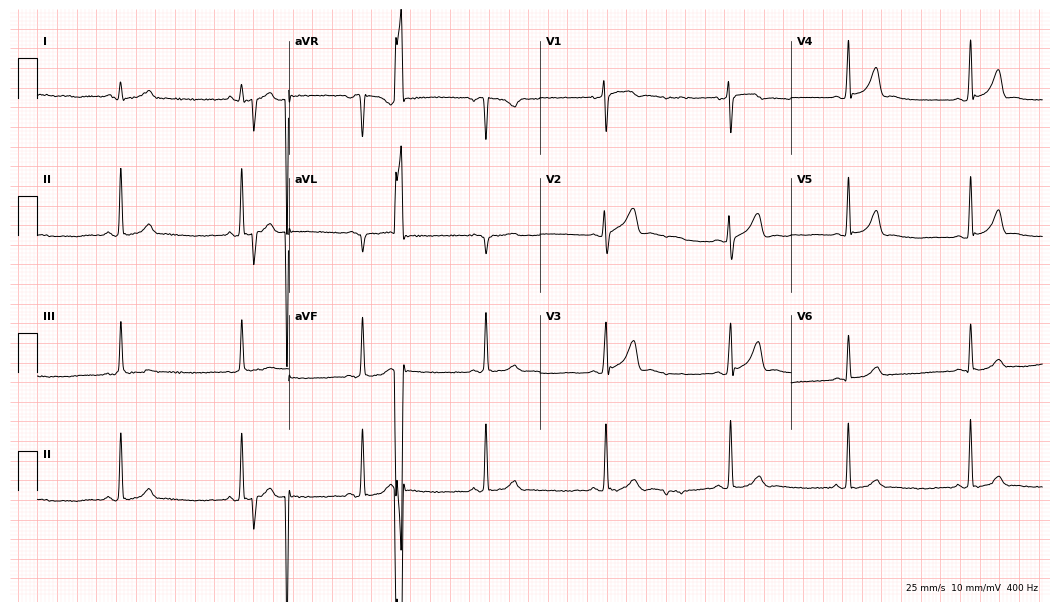
12-lead ECG from a 42-year-old man (10.2-second recording at 400 Hz). Shows sinus bradycardia (a sinus rate of 50 beats per minute or less).